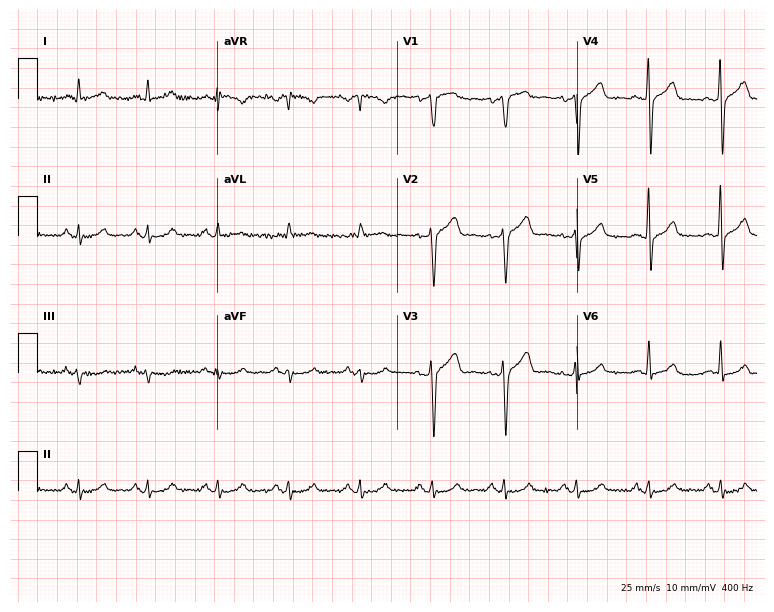
12-lead ECG from a man, 62 years old. Labelled as a normal ECG.